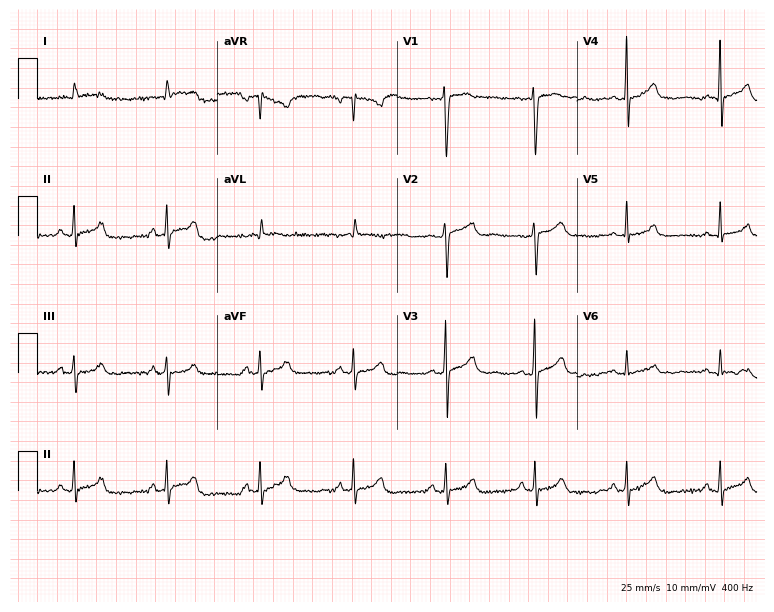
12-lead ECG from a woman, 66 years old. Labelled as a normal ECG.